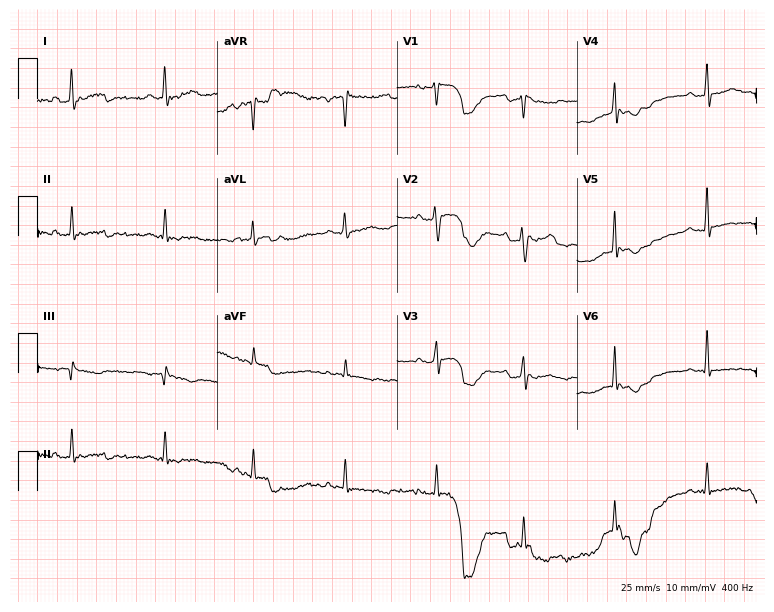
Resting 12-lead electrocardiogram (7.3-second recording at 400 Hz). Patient: a 32-year-old woman. None of these six findings is recorded: first-degree AV block, right bundle branch block, left bundle branch block, sinus bradycardia, atrial fibrillation, sinus tachycardia.